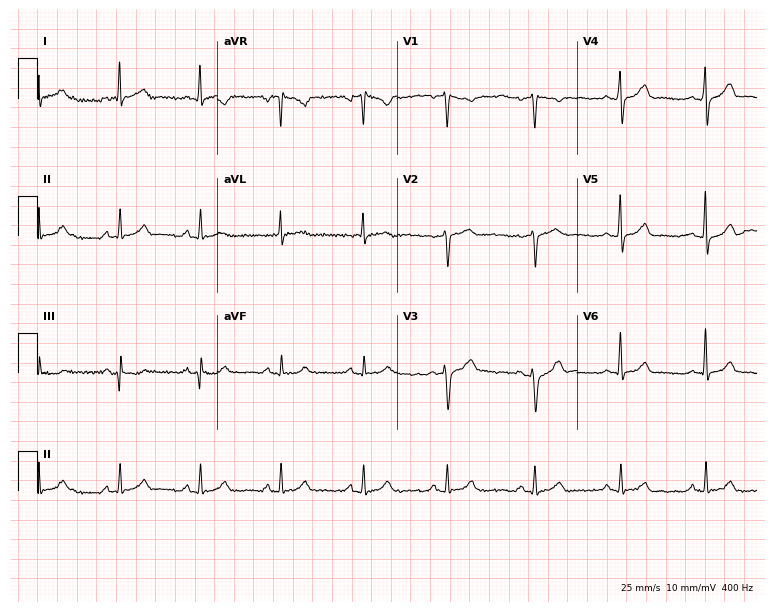
12-lead ECG from a 52-year-old man. Recorded interpretation: within normal limits.